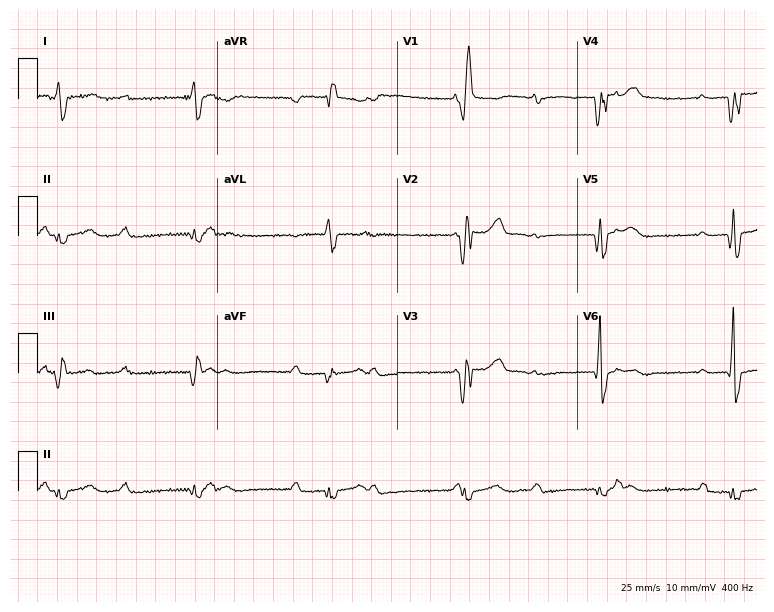
Standard 12-lead ECG recorded from a male, 50 years old (7.3-second recording at 400 Hz). The tracing shows right bundle branch block.